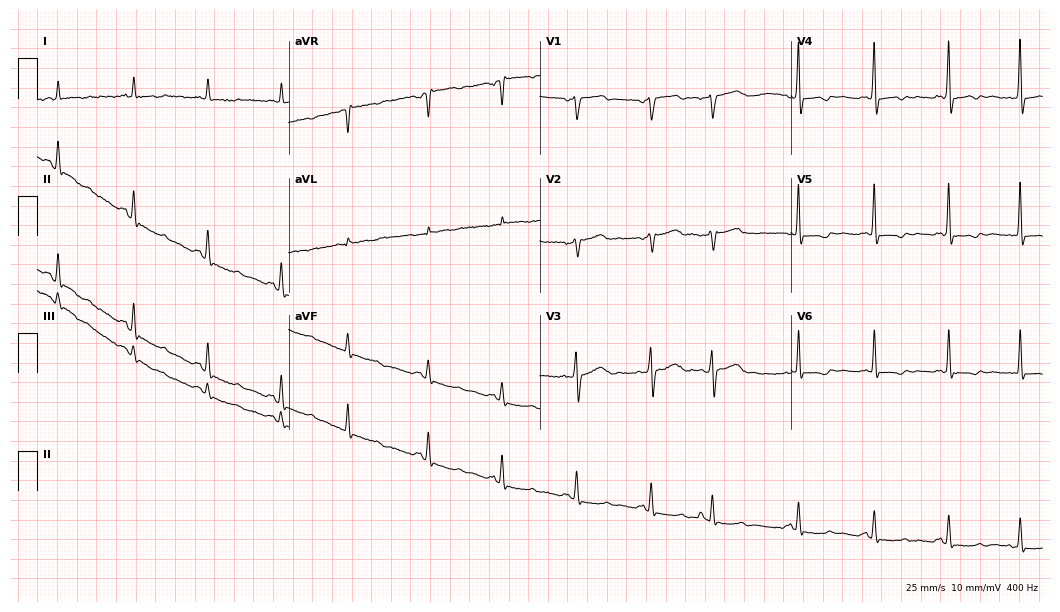
ECG (10.2-second recording at 400 Hz) — a man, 84 years old. Screened for six findings — first-degree AV block, right bundle branch block, left bundle branch block, sinus bradycardia, atrial fibrillation, sinus tachycardia — none is recorded. Other findings, if any, are not listed.